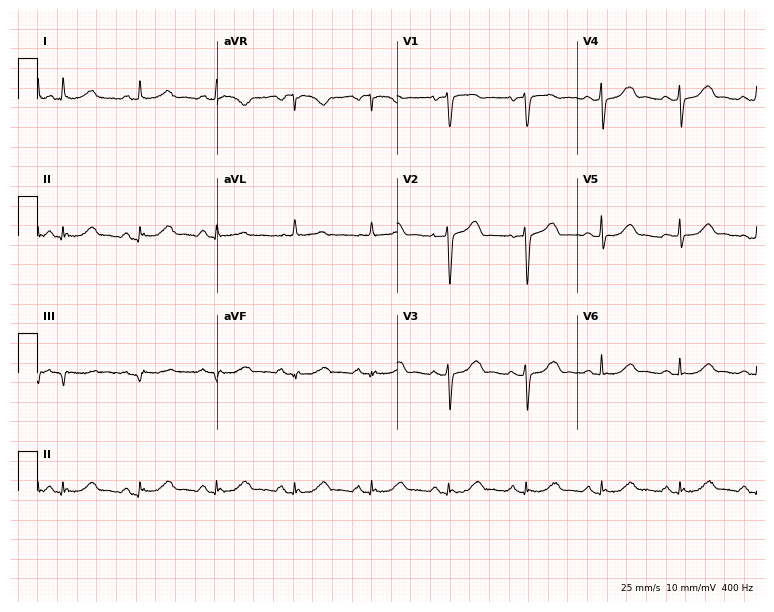
Electrocardiogram, a 76-year-old female. Of the six screened findings (first-degree AV block, right bundle branch block, left bundle branch block, sinus bradycardia, atrial fibrillation, sinus tachycardia), none is recorded.